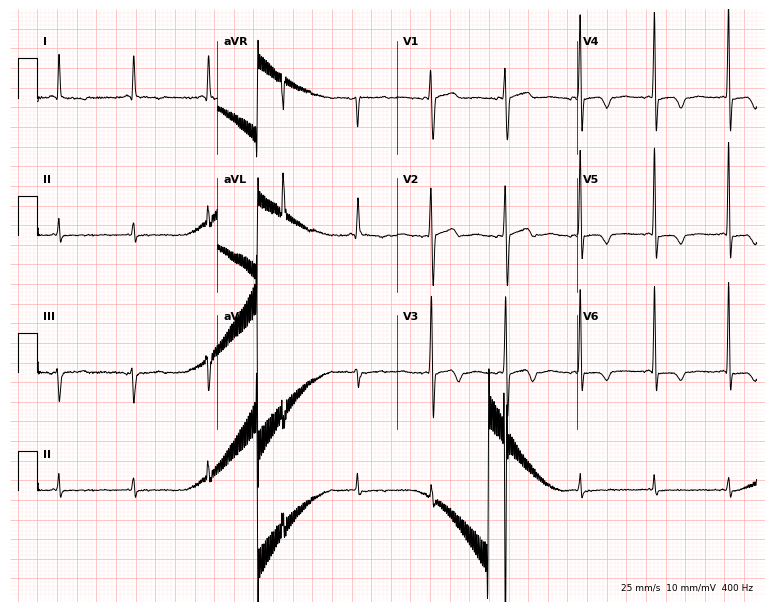
12-lead ECG from a 65-year-old female (7.3-second recording at 400 Hz). Recorded interpretation: within normal limits.